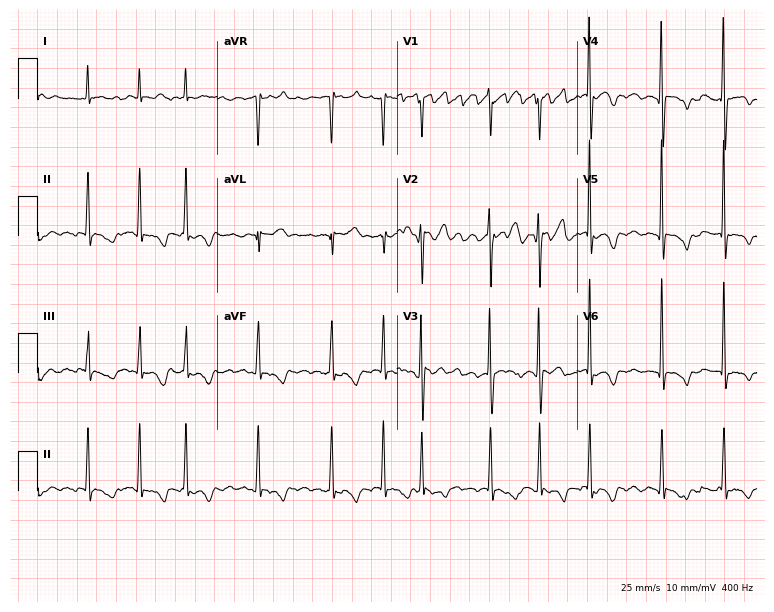
Resting 12-lead electrocardiogram. Patient: an 85-year-old woman. The tracing shows atrial fibrillation.